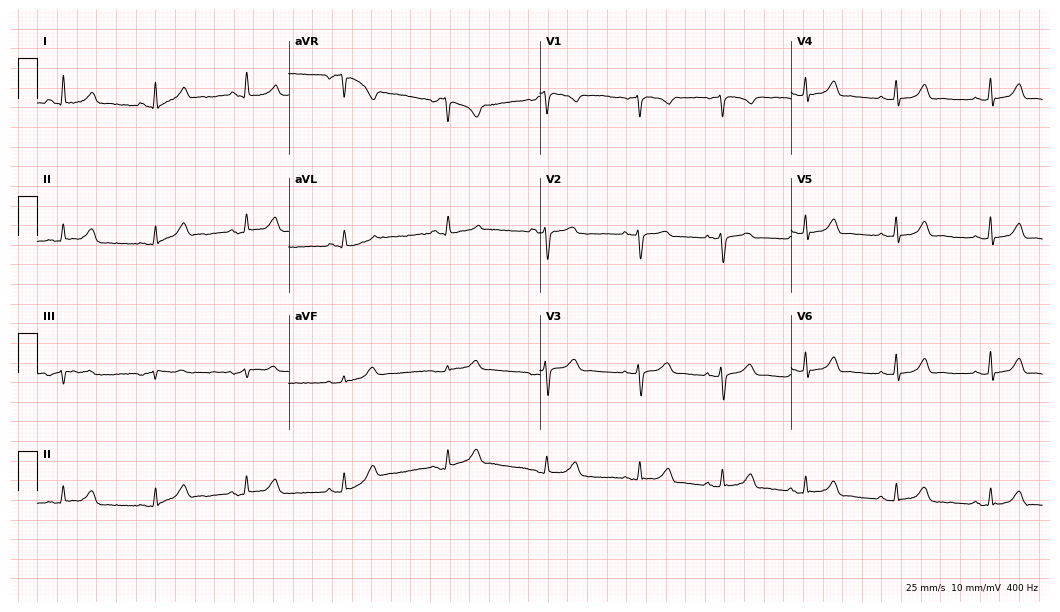
12-lead ECG from a 46-year-old woman. Recorded interpretation: within normal limits.